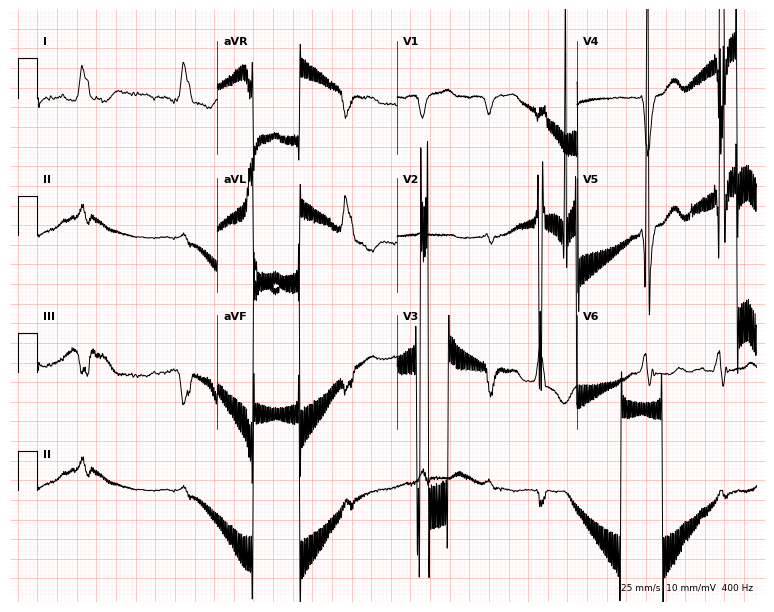
ECG (7.3-second recording at 400 Hz) — a female patient, 78 years old. Screened for six findings — first-degree AV block, right bundle branch block, left bundle branch block, sinus bradycardia, atrial fibrillation, sinus tachycardia — none is recorded. Only these six findings were labelled.